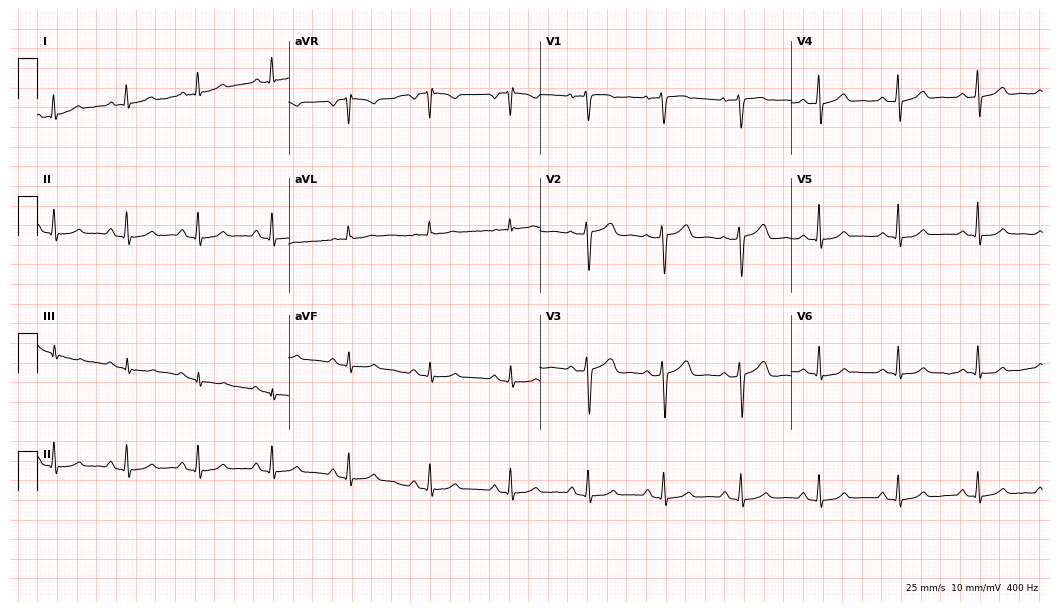
Electrocardiogram, a woman, 40 years old. Overall reading on record: normal ECG.